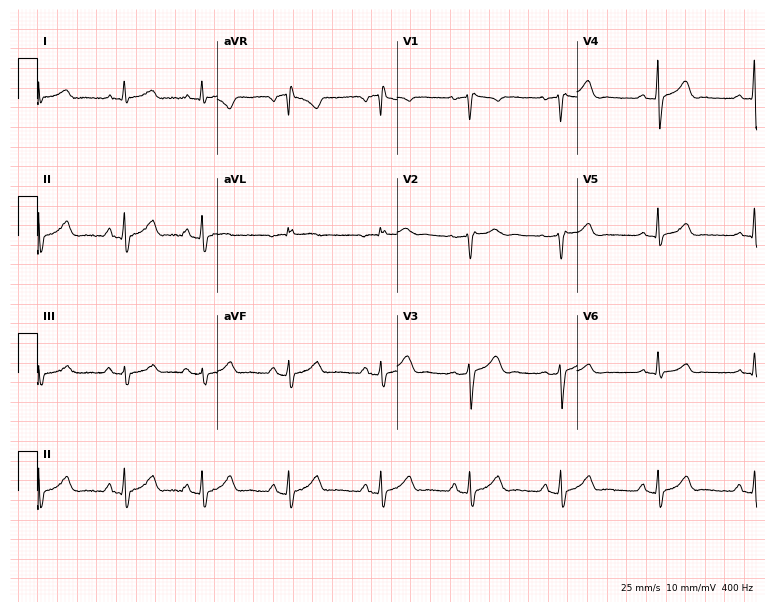
12-lead ECG from a 20-year-old female. Screened for six findings — first-degree AV block, right bundle branch block (RBBB), left bundle branch block (LBBB), sinus bradycardia, atrial fibrillation (AF), sinus tachycardia — none is recorded.